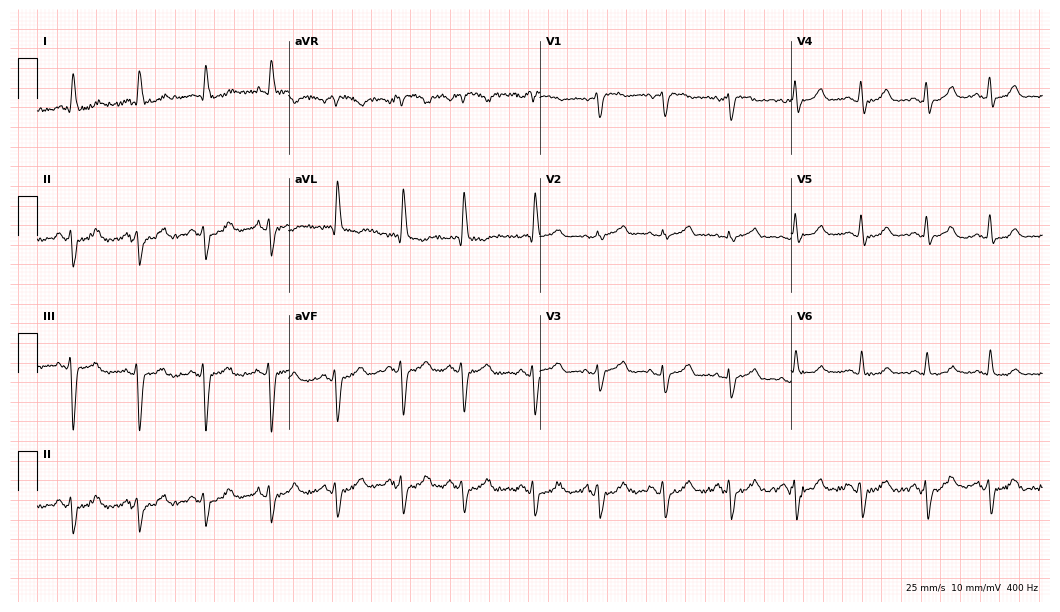
12-lead ECG from an 84-year-old woman. No first-degree AV block, right bundle branch block, left bundle branch block, sinus bradycardia, atrial fibrillation or sinus tachycardia recorded for this tracing.